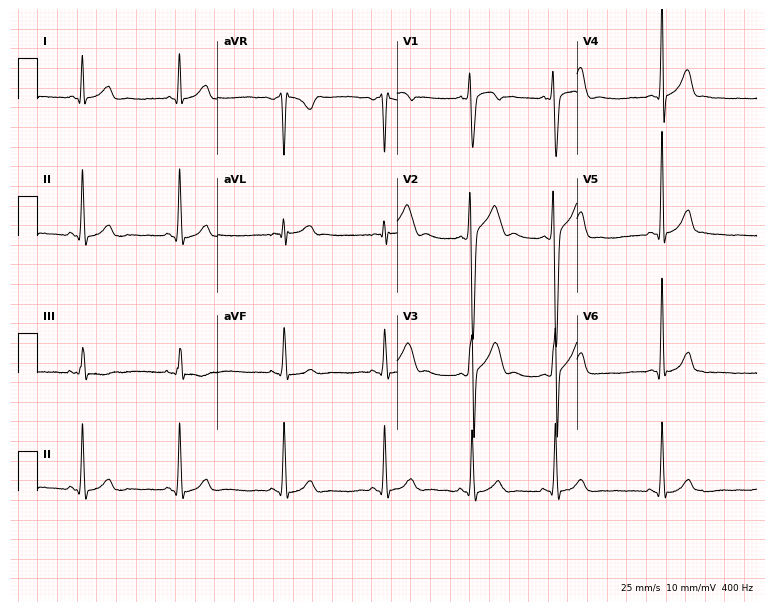
Electrocardiogram (7.3-second recording at 400 Hz), a man, 20 years old. Overall reading on record: normal ECG.